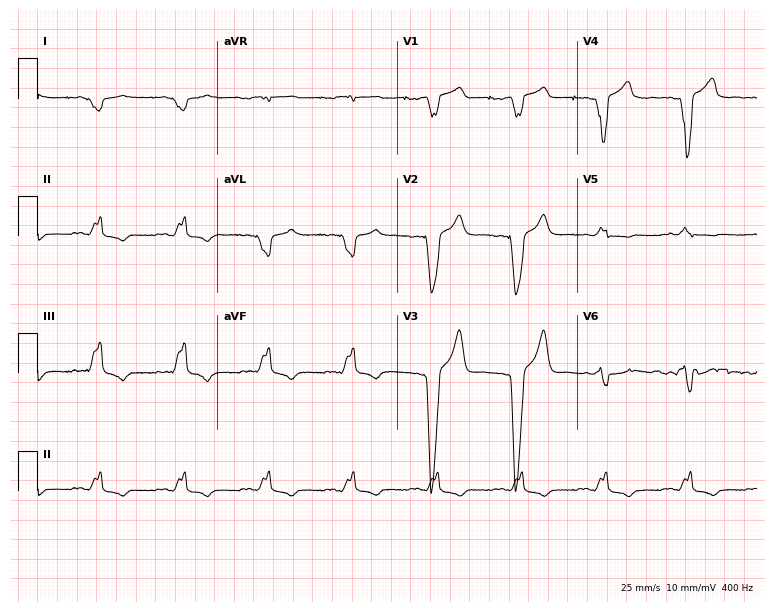
Electrocardiogram, a 76-year-old male patient. Of the six screened findings (first-degree AV block, right bundle branch block (RBBB), left bundle branch block (LBBB), sinus bradycardia, atrial fibrillation (AF), sinus tachycardia), none is recorded.